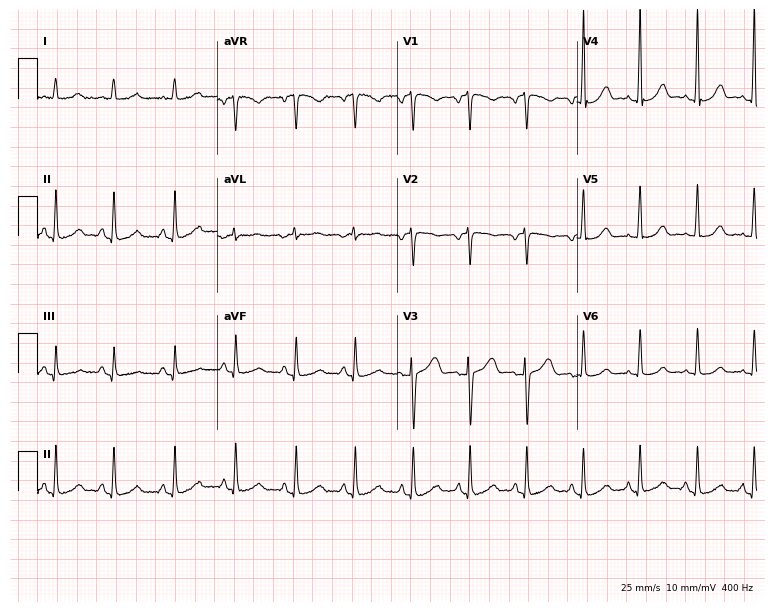
12-lead ECG from a female, 34 years old. Findings include sinus tachycardia (a sinus rate of 100 beats per minute or more).